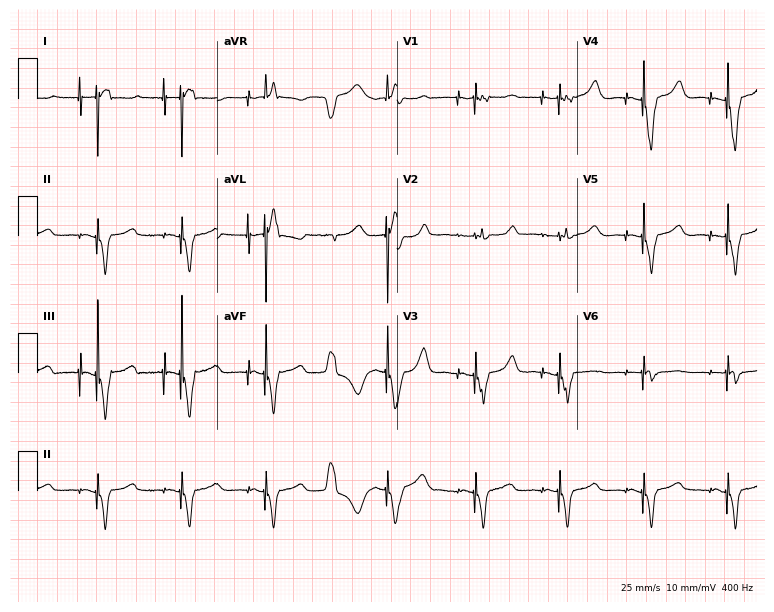
Resting 12-lead electrocardiogram. Patient: an 84-year-old woman. None of these six findings is recorded: first-degree AV block, right bundle branch block, left bundle branch block, sinus bradycardia, atrial fibrillation, sinus tachycardia.